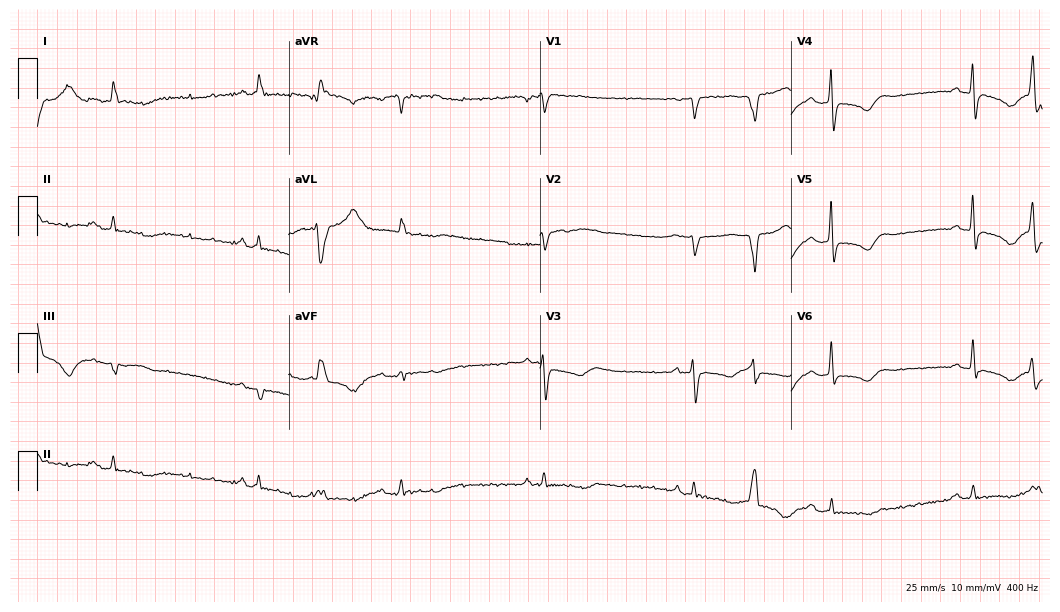
12-lead ECG (10.2-second recording at 400 Hz) from a female patient, 63 years old. Findings include sinus bradycardia (a sinus rate of 50 beats per minute or less).